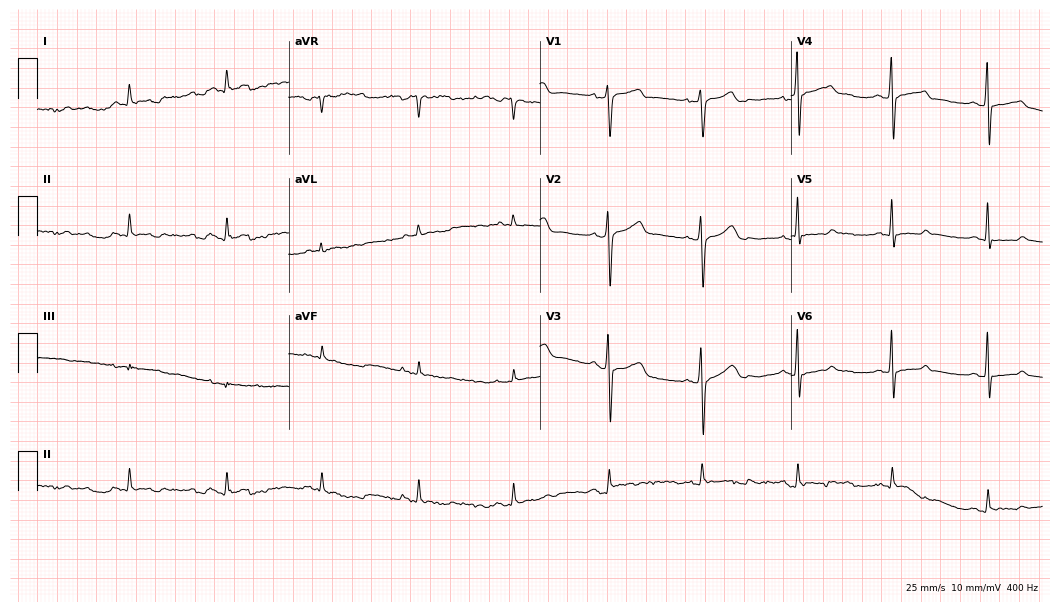
ECG — a male patient, 54 years old. Labelled as a normal ECG.